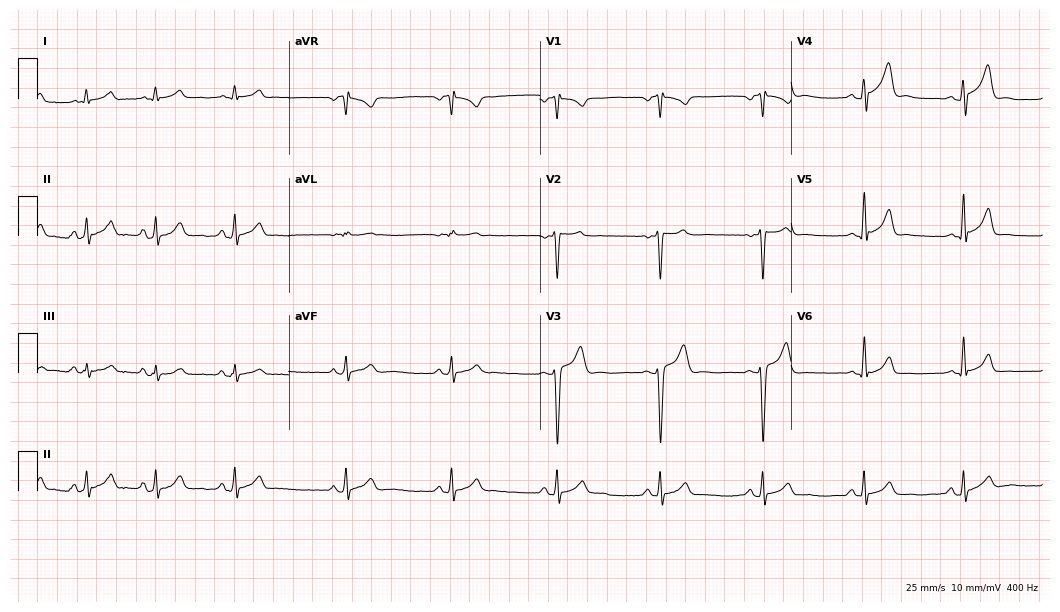
Resting 12-lead electrocardiogram (10.2-second recording at 400 Hz). Patient: a man, 27 years old. None of these six findings is recorded: first-degree AV block, right bundle branch block, left bundle branch block, sinus bradycardia, atrial fibrillation, sinus tachycardia.